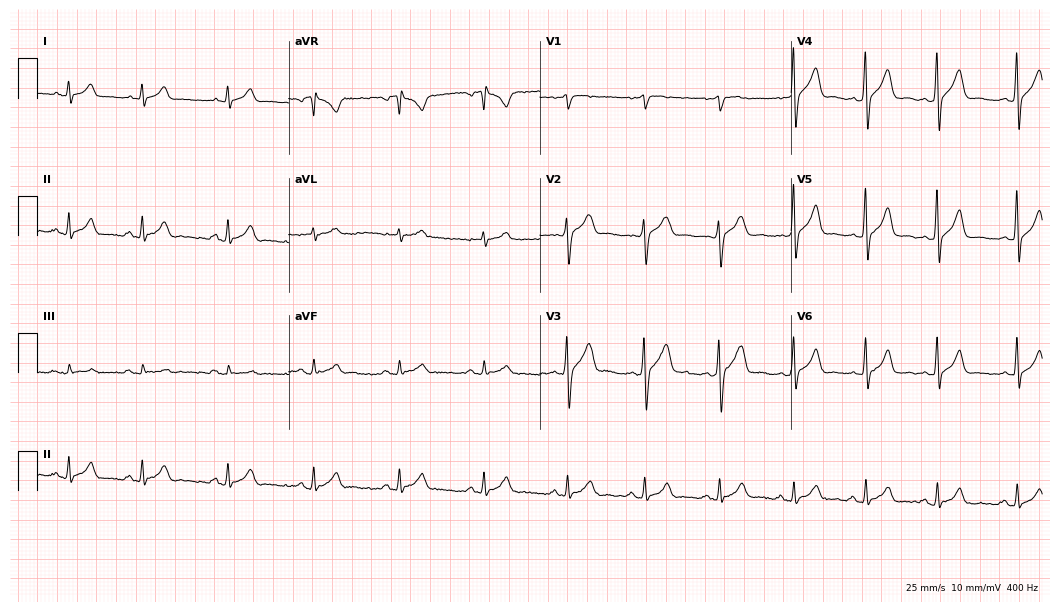
Standard 12-lead ECG recorded from a 25-year-old man (10.2-second recording at 400 Hz). Read as a normal ECG.